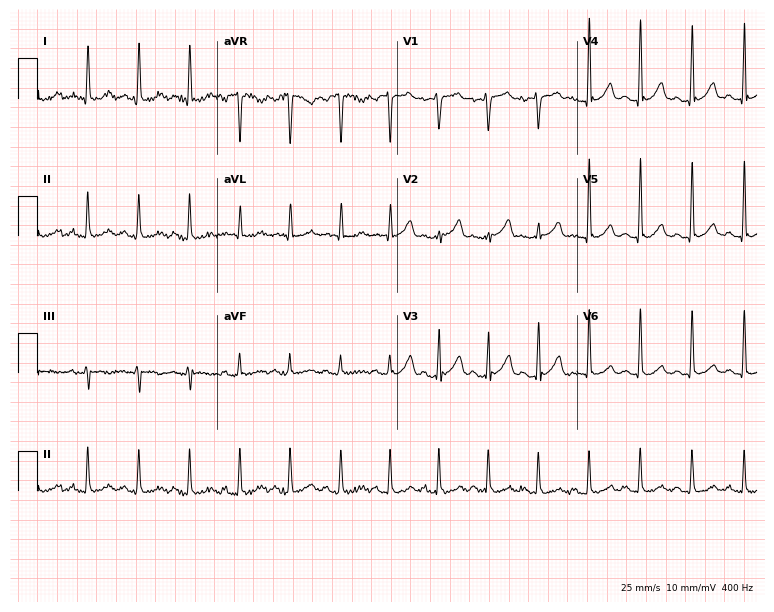
12-lead ECG from a man, 38 years old. Findings include sinus tachycardia (a sinus rate of 100 beats per minute or more).